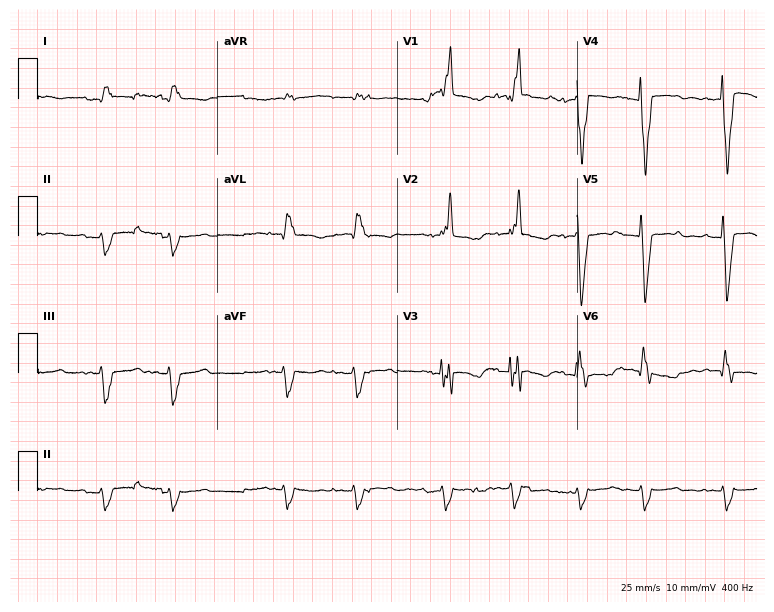
ECG — a 60-year-old man. Findings include right bundle branch block.